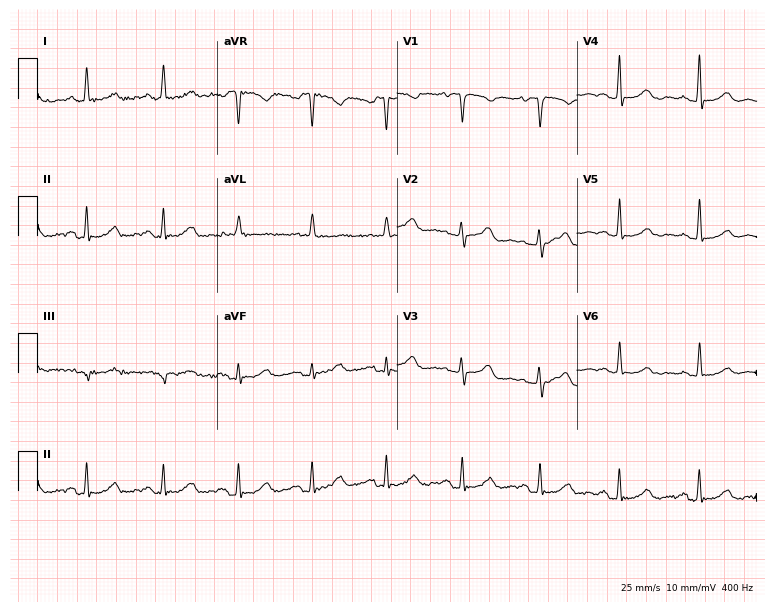
Electrocardiogram, a 76-year-old female. Of the six screened findings (first-degree AV block, right bundle branch block, left bundle branch block, sinus bradycardia, atrial fibrillation, sinus tachycardia), none is recorded. Findings outside these six are not listed.